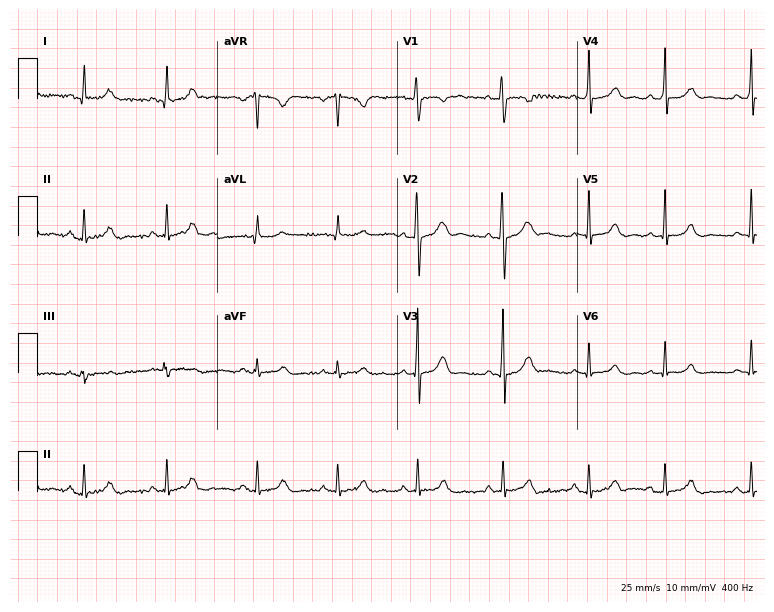
ECG — a female patient, 19 years old. Labelled as a normal ECG.